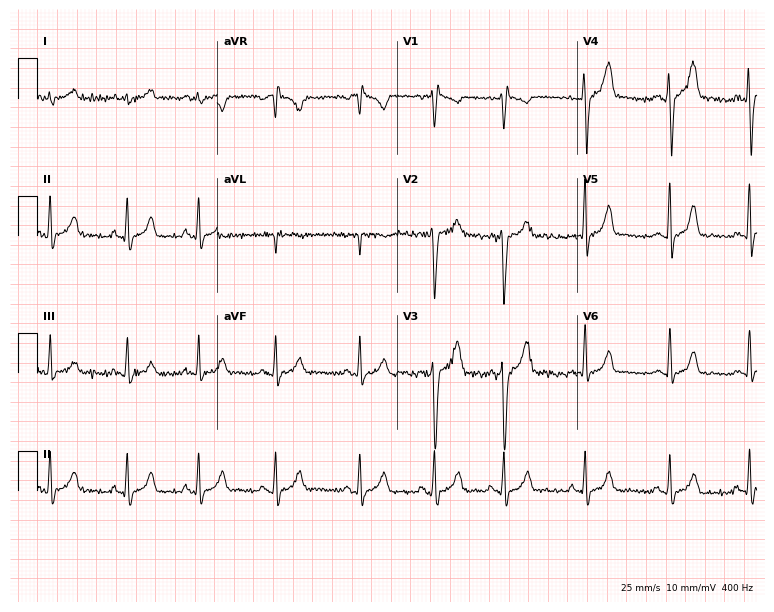
12-lead ECG (7.3-second recording at 400 Hz) from a 21-year-old man. Screened for six findings — first-degree AV block, right bundle branch block, left bundle branch block, sinus bradycardia, atrial fibrillation, sinus tachycardia — none is recorded. Findings outside these six are not listed.